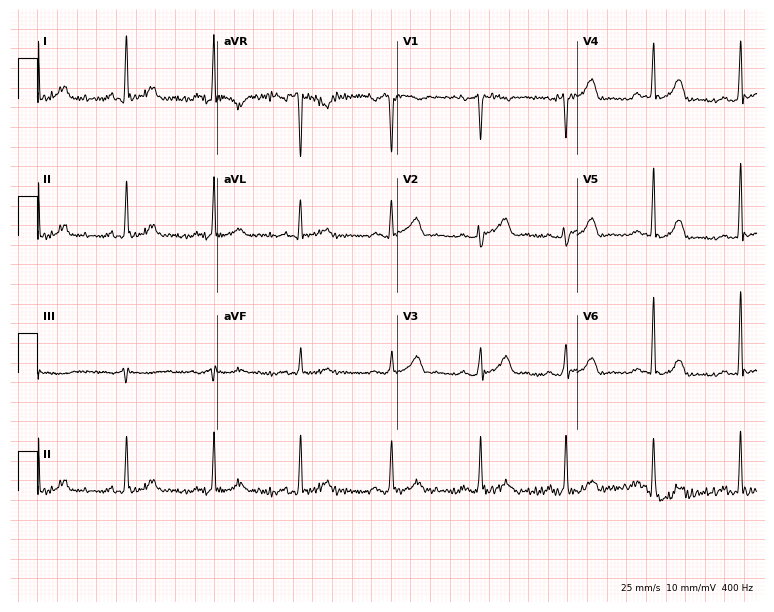
12-lead ECG from a 64-year-old male patient. Recorded interpretation: within normal limits.